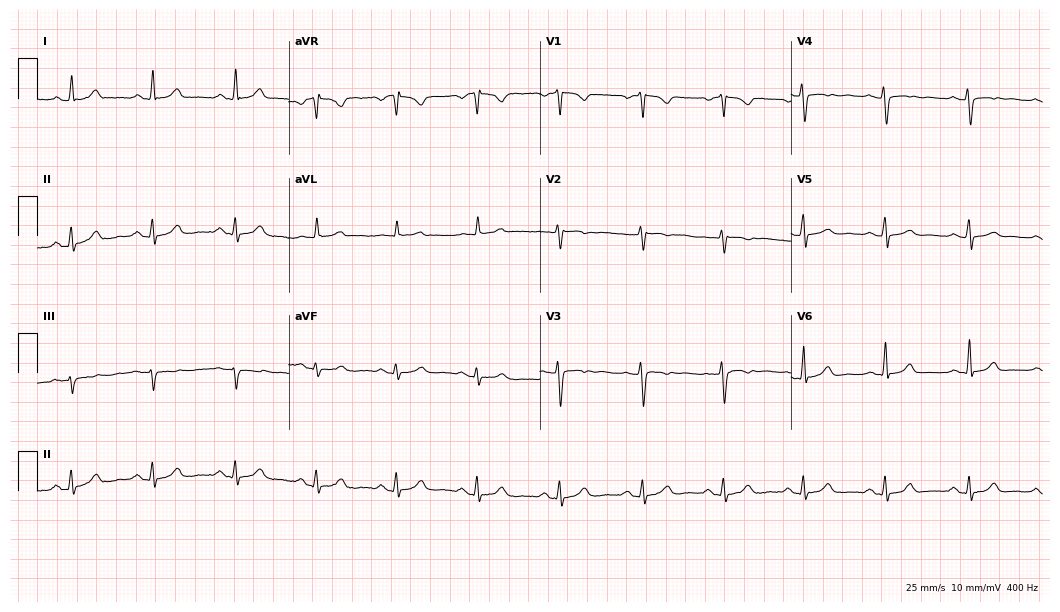
ECG (10.2-second recording at 400 Hz) — a female, 43 years old. Labelled as a normal ECG.